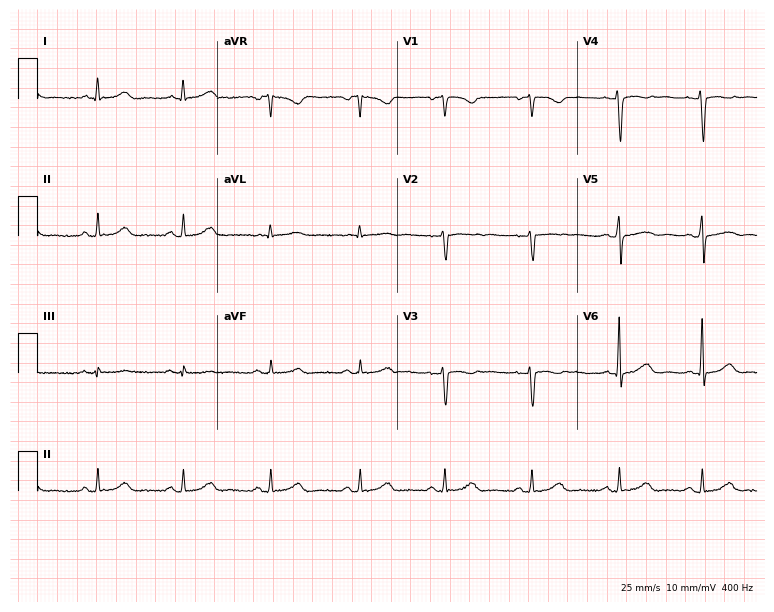
Standard 12-lead ECG recorded from a female patient, 31 years old. None of these six findings is recorded: first-degree AV block, right bundle branch block (RBBB), left bundle branch block (LBBB), sinus bradycardia, atrial fibrillation (AF), sinus tachycardia. Only these six findings were labelled.